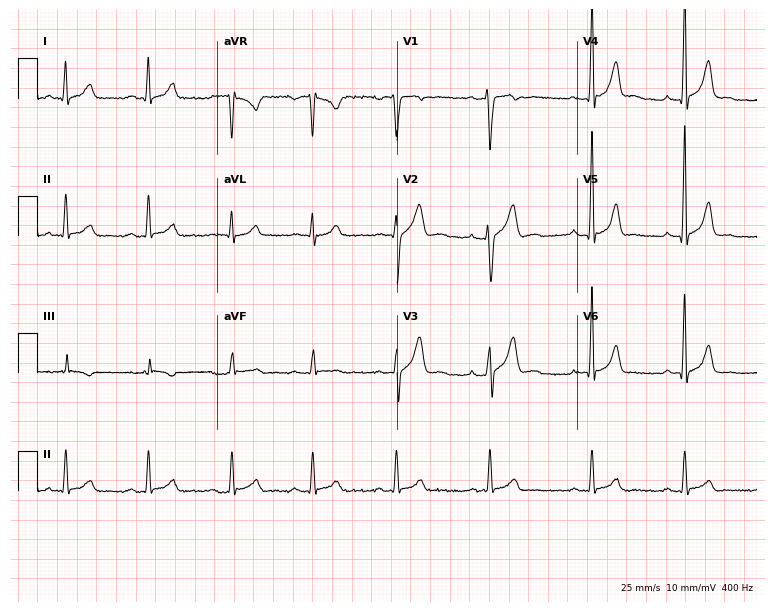
Standard 12-lead ECG recorded from a male, 32 years old (7.3-second recording at 400 Hz). None of these six findings is recorded: first-degree AV block, right bundle branch block (RBBB), left bundle branch block (LBBB), sinus bradycardia, atrial fibrillation (AF), sinus tachycardia.